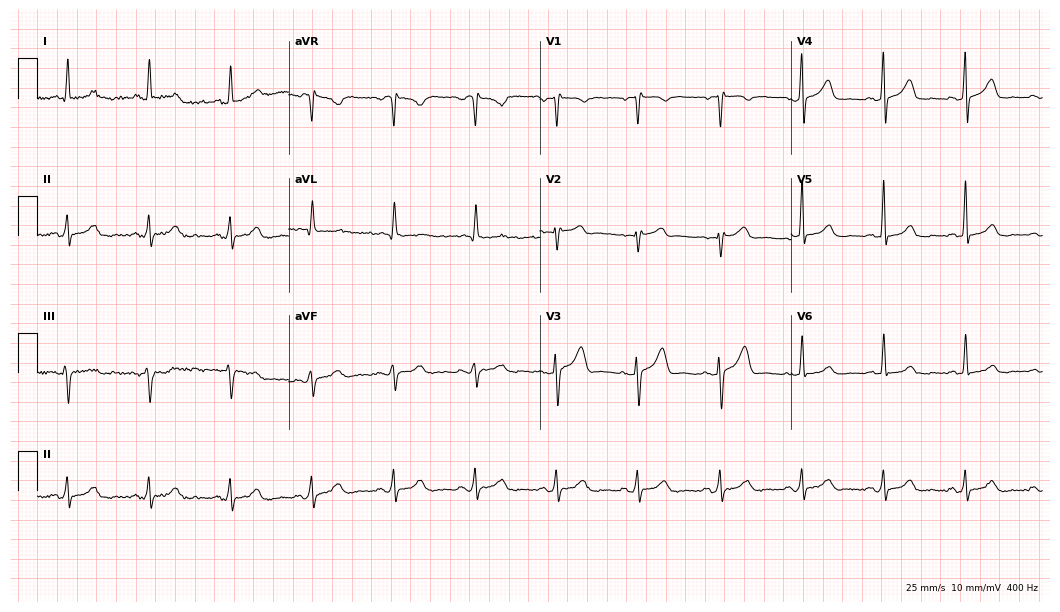
Electrocardiogram, a 54-year-old man. Of the six screened findings (first-degree AV block, right bundle branch block, left bundle branch block, sinus bradycardia, atrial fibrillation, sinus tachycardia), none is recorded.